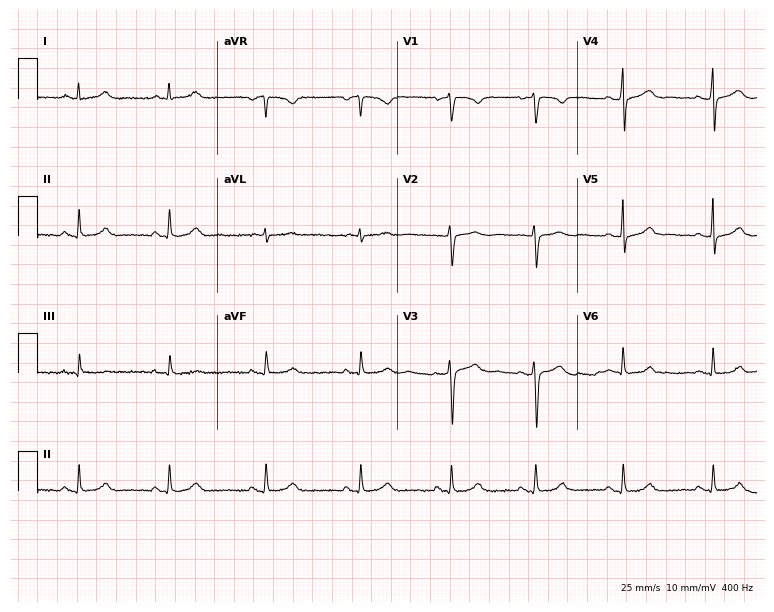
ECG — a 22-year-old woman. Labelled as a normal ECG.